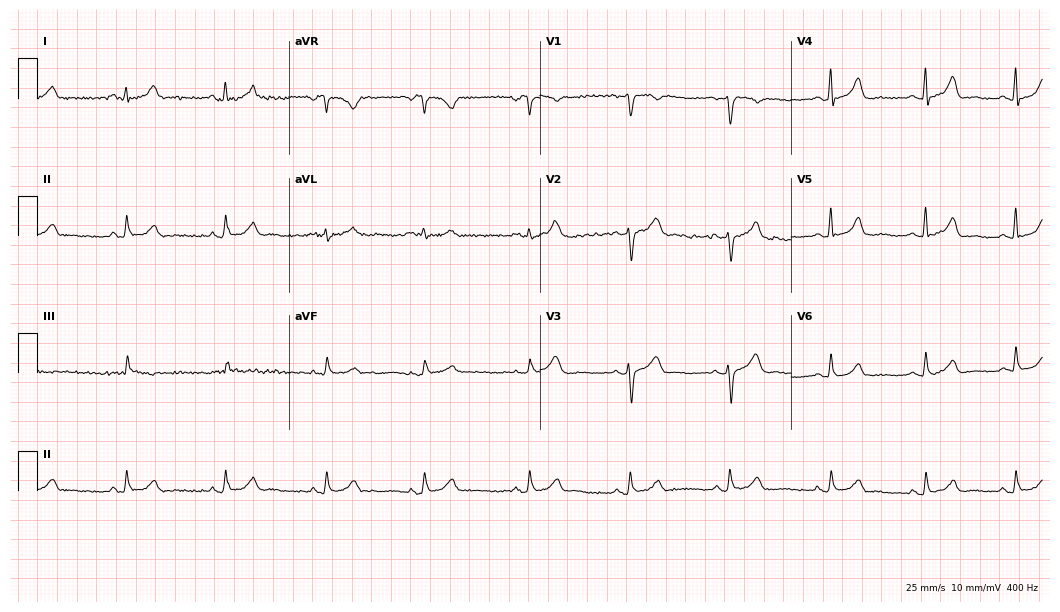
12-lead ECG from a 46-year-old female. Labelled as a normal ECG.